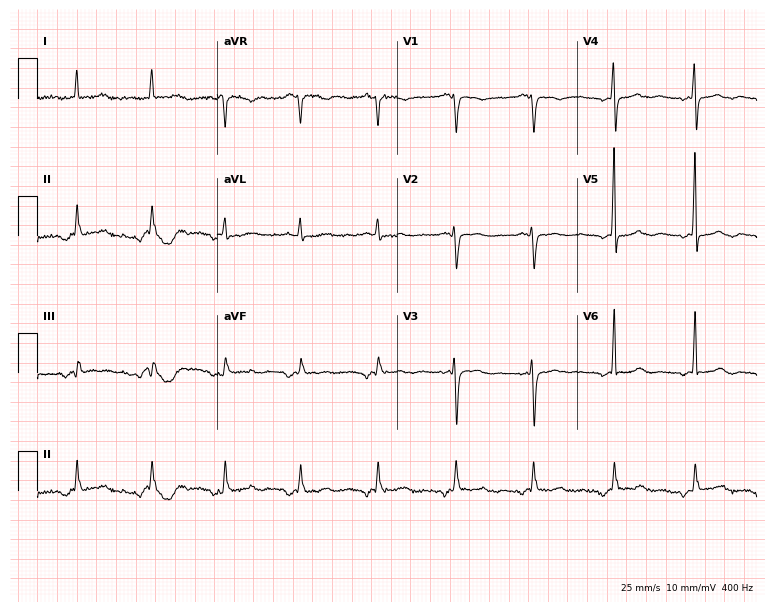
ECG (7.3-second recording at 400 Hz) — a female, 73 years old. Screened for six findings — first-degree AV block, right bundle branch block (RBBB), left bundle branch block (LBBB), sinus bradycardia, atrial fibrillation (AF), sinus tachycardia — none is recorded. Other findings, if any, are not listed.